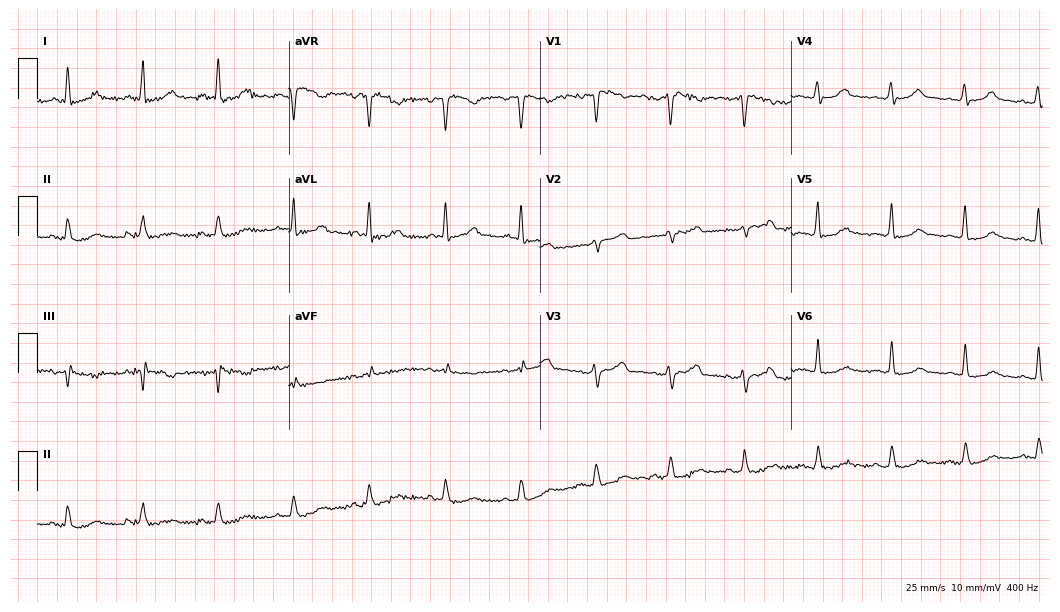
Electrocardiogram, a 53-year-old woman. Of the six screened findings (first-degree AV block, right bundle branch block, left bundle branch block, sinus bradycardia, atrial fibrillation, sinus tachycardia), none is recorded.